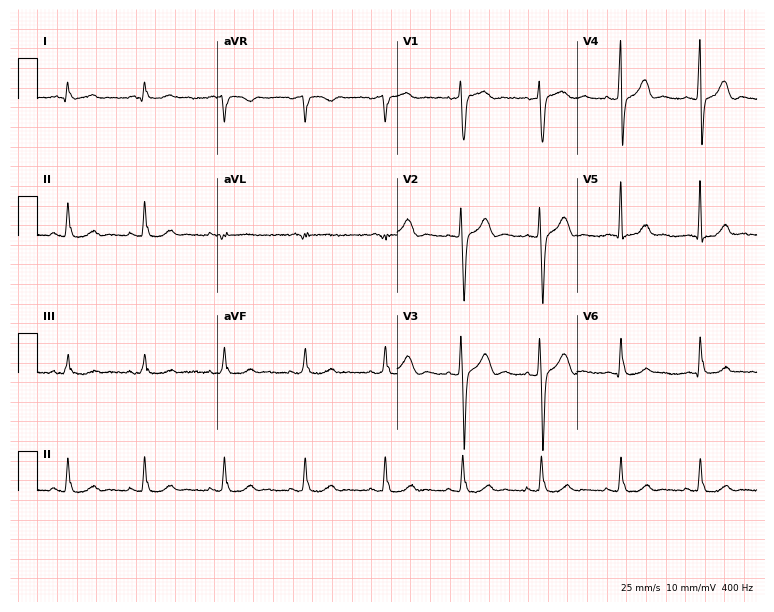
Electrocardiogram (7.3-second recording at 400 Hz), a man, 49 years old. Of the six screened findings (first-degree AV block, right bundle branch block, left bundle branch block, sinus bradycardia, atrial fibrillation, sinus tachycardia), none is recorded. Other findings, if any, are not listed.